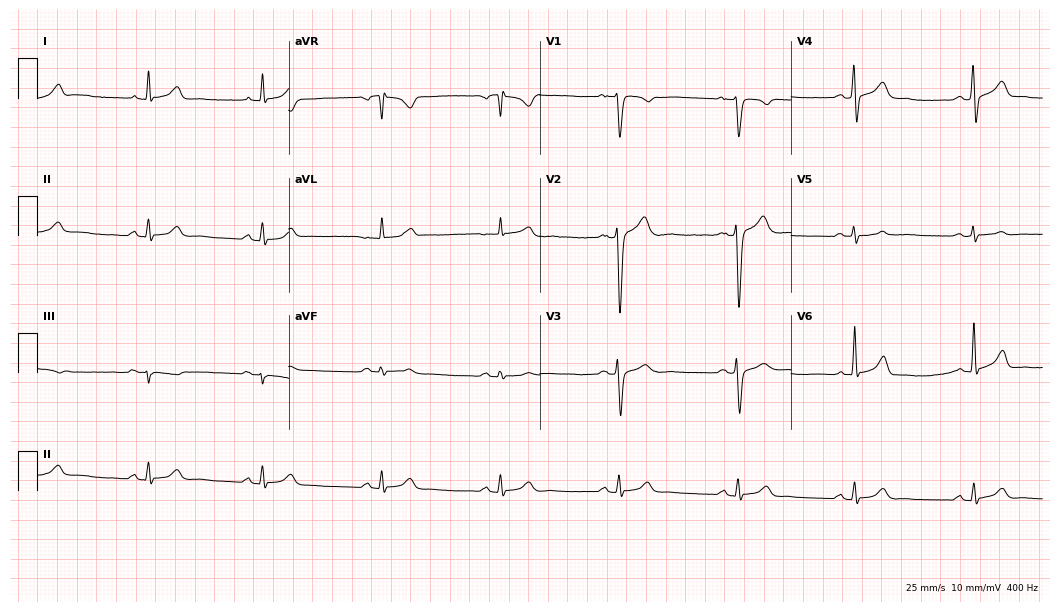
Standard 12-lead ECG recorded from a male, 34 years old. Read as a normal ECG.